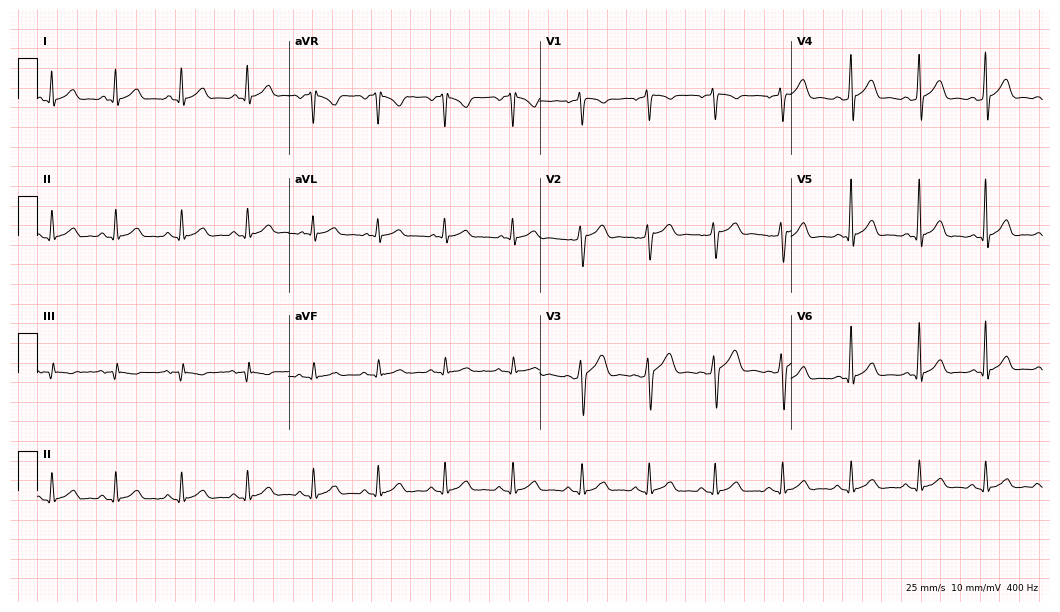
ECG — a male, 26 years old. Screened for six findings — first-degree AV block, right bundle branch block (RBBB), left bundle branch block (LBBB), sinus bradycardia, atrial fibrillation (AF), sinus tachycardia — none is recorded. Other findings, if any, are not listed.